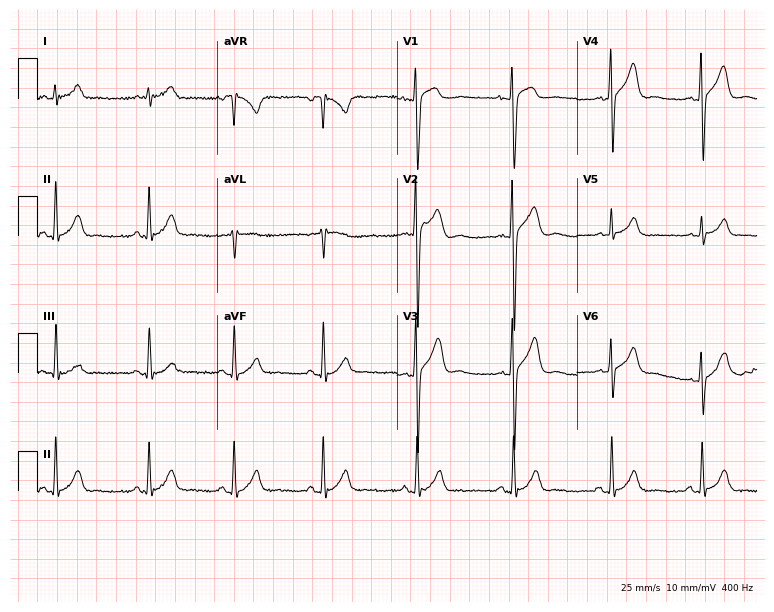
Standard 12-lead ECG recorded from a male, 39 years old (7.3-second recording at 400 Hz). Read as a normal ECG.